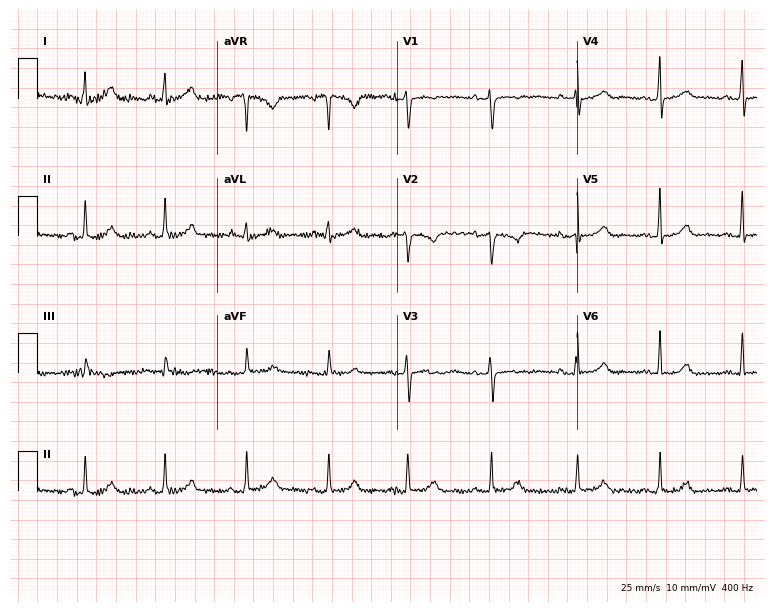
12-lead ECG (7.3-second recording at 400 Hz) from a 26-year-old woman. Labelled as a normal ECG.